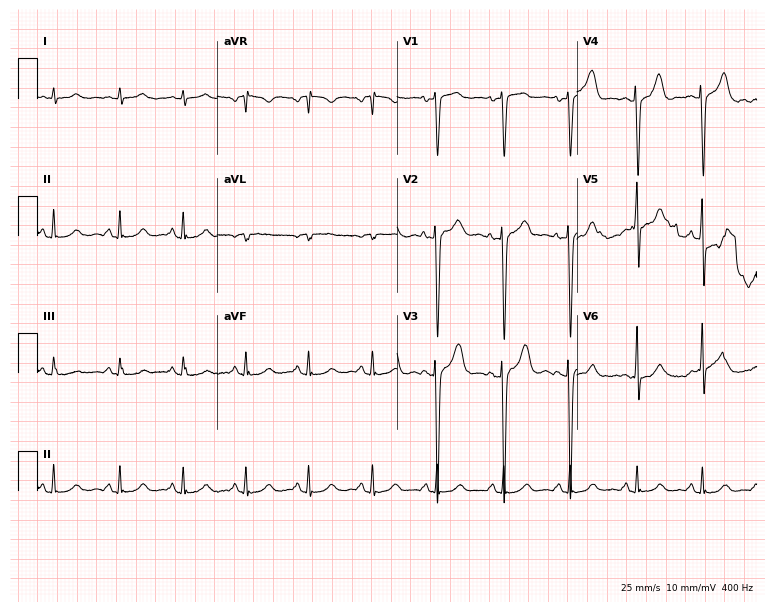
ECG (7.3-second recording at 400 Hz) — a 42-year-old female. Labelled as a normal ECG.